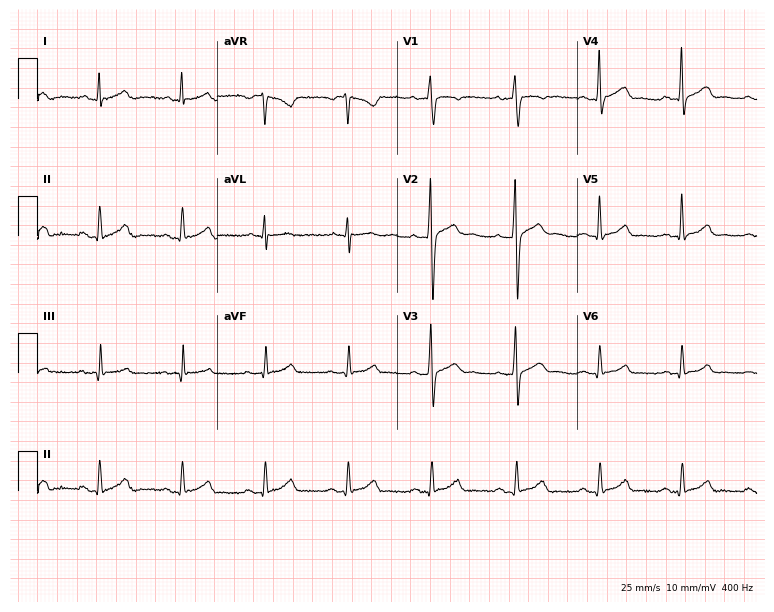
Resting 12-lead electrocardiogram. Patient: a 27-year-old man. None of these six findings is recorded: first-degree AV block, right bundle branch block (RBBB), left bundle branch block (LBBB), sinus bradycardia, atrial fibrillation (AF), sinus tachycardia. Only these six findings were labelled.